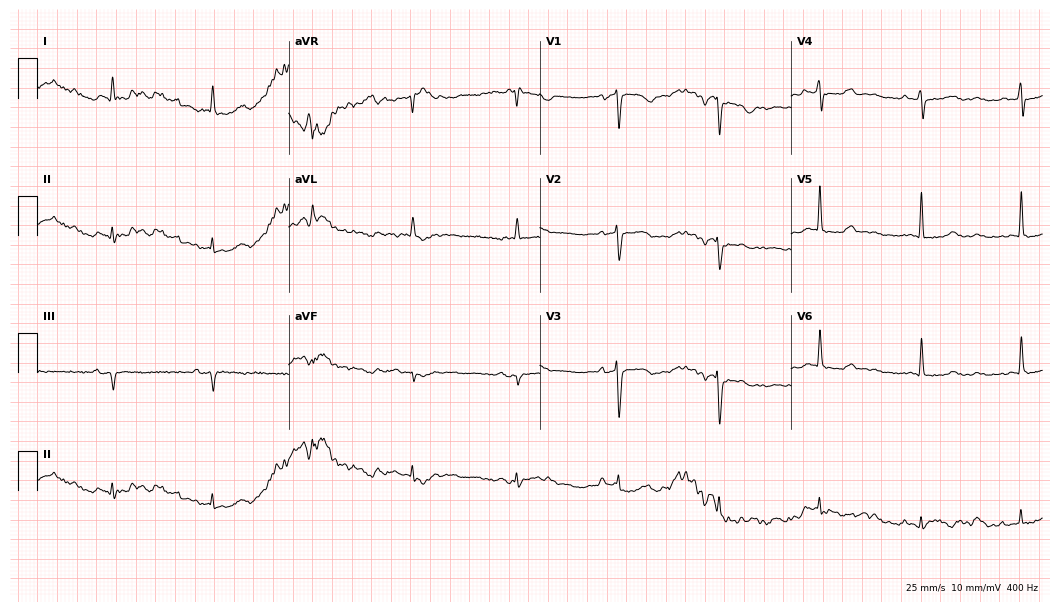
Resting 12-lead electrocardiogram. Patient: a female, 82 years old. None of these six findings is recorded: first-degree AV block, right bundle branch block, left bundle branch block, sinus bradycardia, atrial fibrillation, sinus tachycardia.